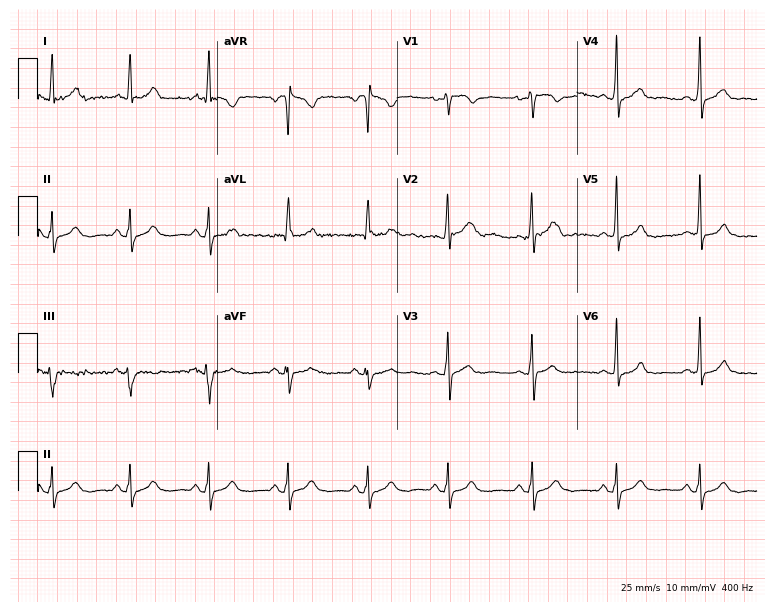
Standard 12-lead ECG recorded from a 45-year-old woman. Read as a normal ECG.